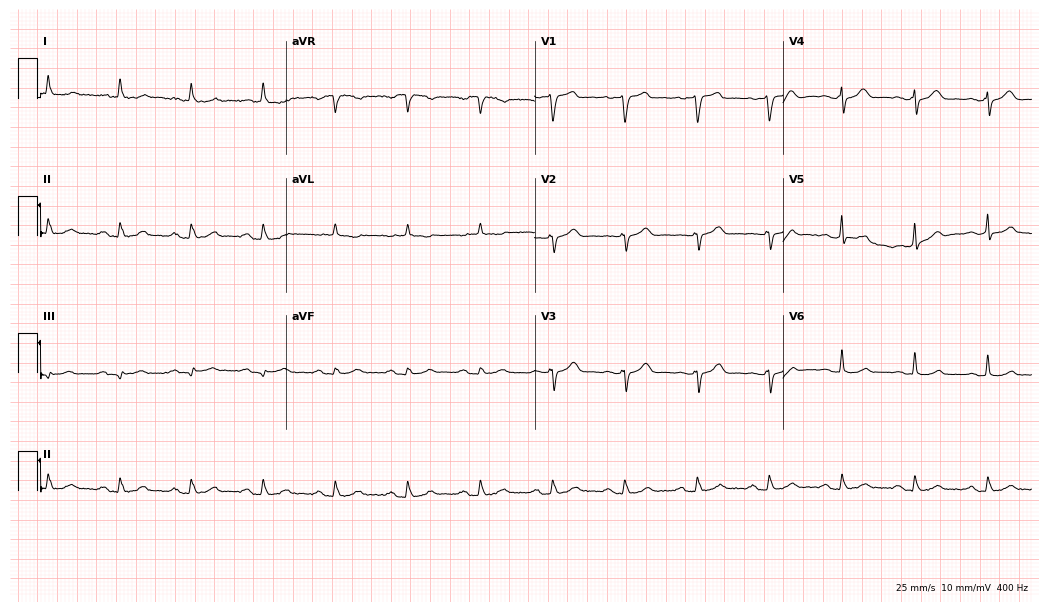
12-lead ECG from a man, 80 years old. Screened for six findings — first-degree AV block, right bundle branch block, left bundle branch block, sinus bradycardia, atrial fibrillation, sinus tachycardia — none is recorded. Other findings, if any, are not listed.